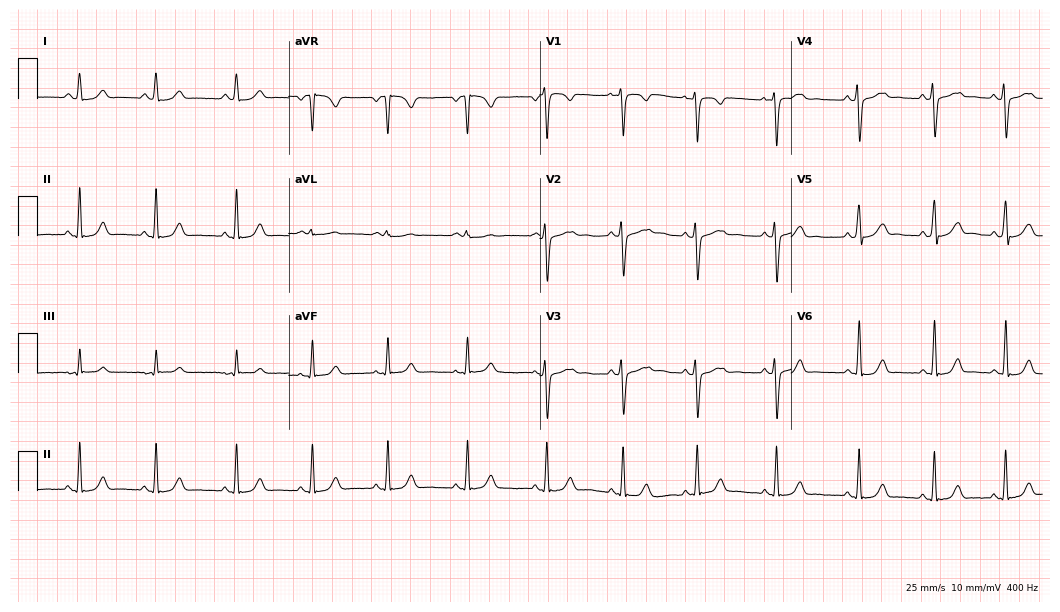
Resting 12-lead electrocardiogram (10.2-second recording at 400 Hz). Patient: a woman, 23 years old. None of these six findings is recorded: first-degree AV block, right bundle branch block, left bundle branch block, sinus bradycardia, atrial fibrillation, sinus tachycardia.